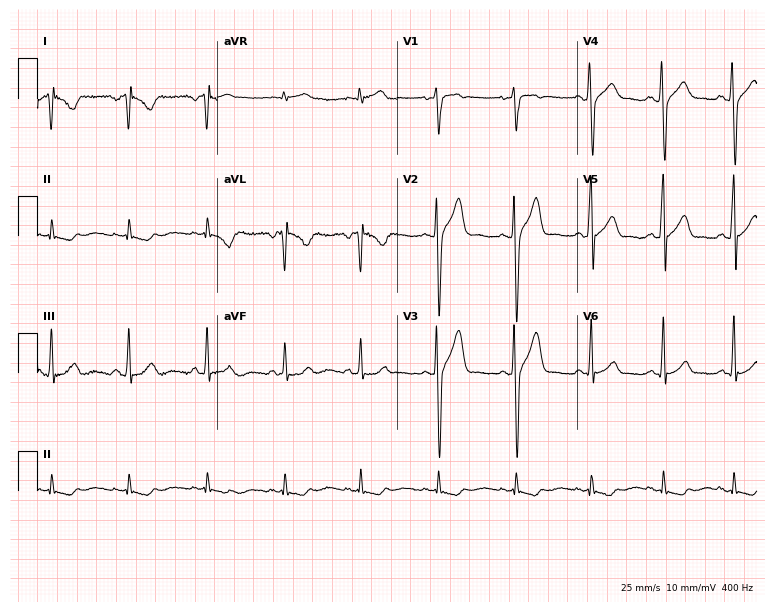
ECG (7.3-second recording at 400 Hz) — a male, 32 years old. Screened for six findings — first-degree AV block, right bundle branch block (RBBB), left bundle branch block (LBBB), sinus bradycardia, atrial fibrillation (AF), sinus tachycardia — none is recorded. Only these six findings were labelled.